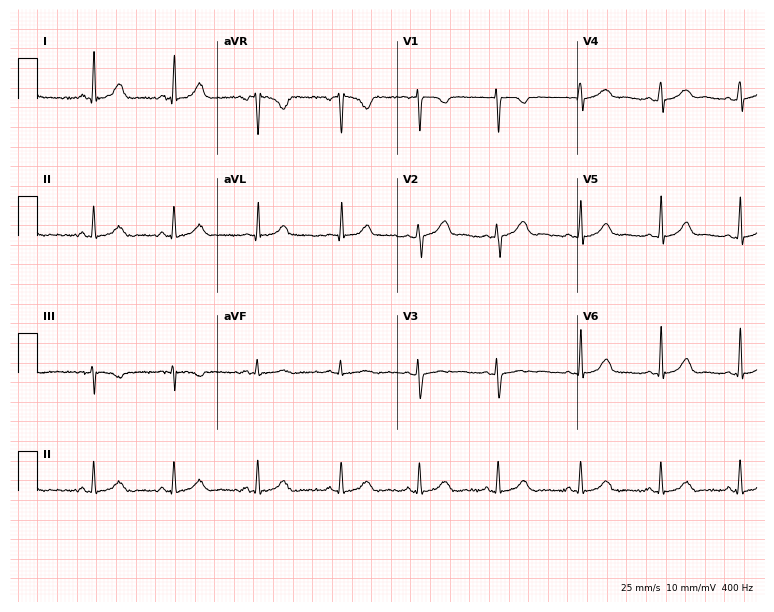
Standard 12-lead ECG recorded from a female, 29 years old. Read as a normal ECG.